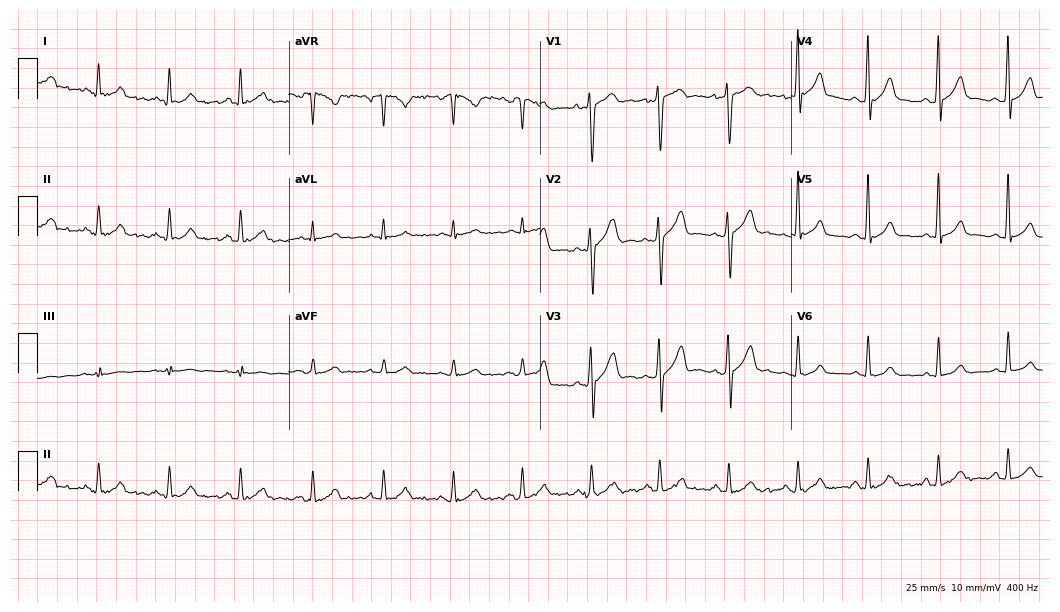
12-lead ECG (10.2-second recording at 400 Hz) from a 24-year-old male. Labelled as a normal ECG.